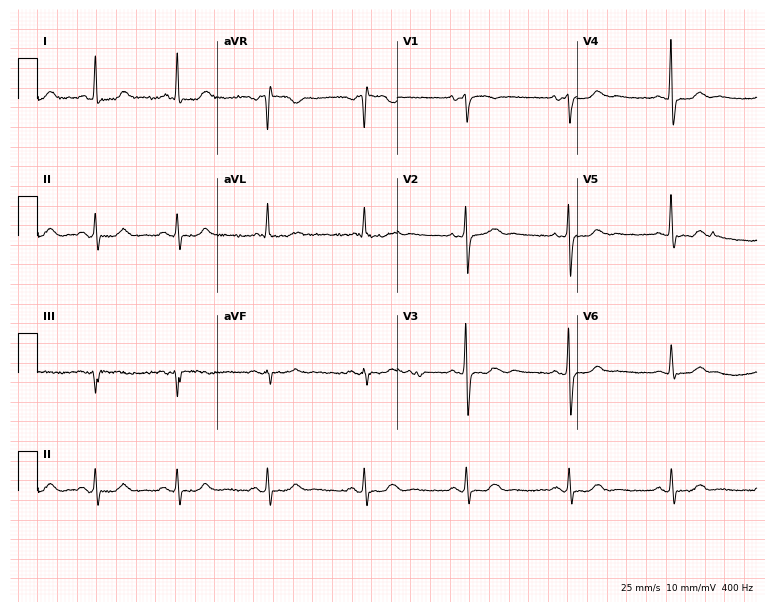
Electrocardiogram (7.3-second recording at 400 Hz), a 66-year-old female. Of the six screened findings (first-degree AV block, right bundle branch block, left bundle branch block, sinus bradycardia, atrial fibrillation, sinus tachycardia), none is recorded.